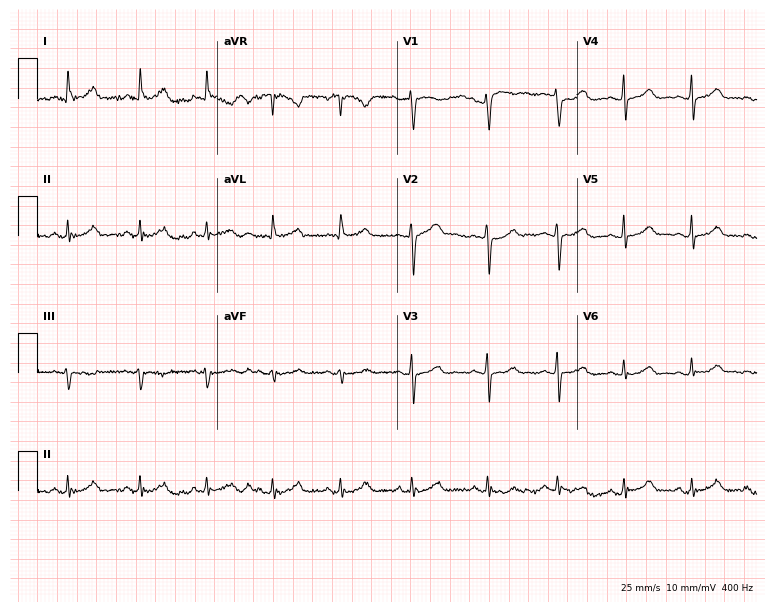
ECG (7.3-second recording at 400 Hz) — a 57-year-old female. Screened for six findings — first-degree AV block, right bundle branch block, left bundle branch block, sinus bradycardia, atrial fibrillation, sinus tachycardia — none is recorded.